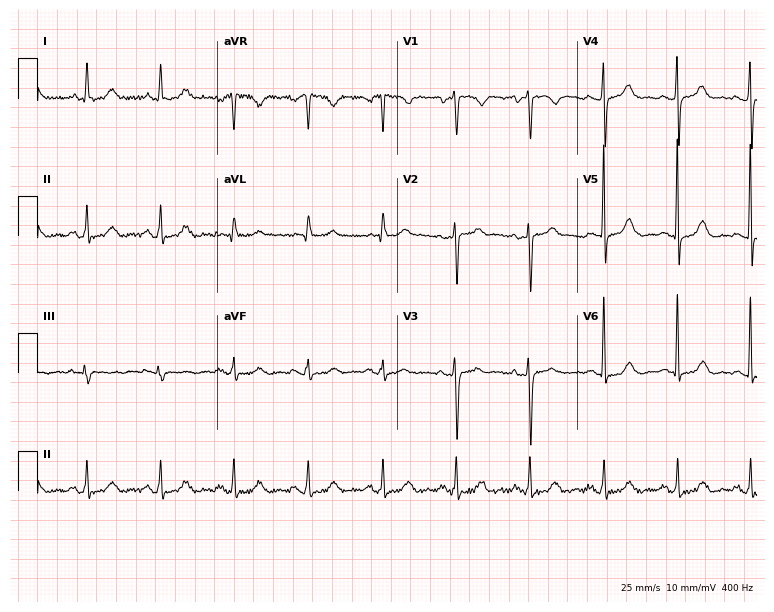
ECG — a woman, 68 years old. Screened for six findings — first-degree AV block, right bundle branch block, left bundle branch block, sinus bradycardia, atrial fibrillation, sinus tachycardia — none is recorded. Findings outside these six are not listed.